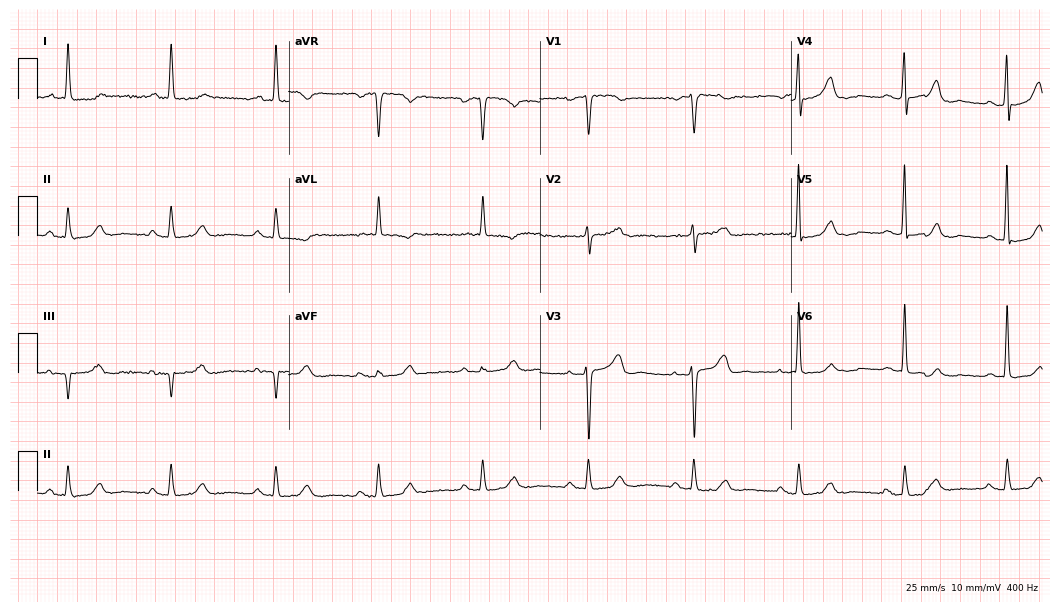
Resting 12-lead electrocardiogram. Patient: a female, 70 years old. Read as a normal ECG.